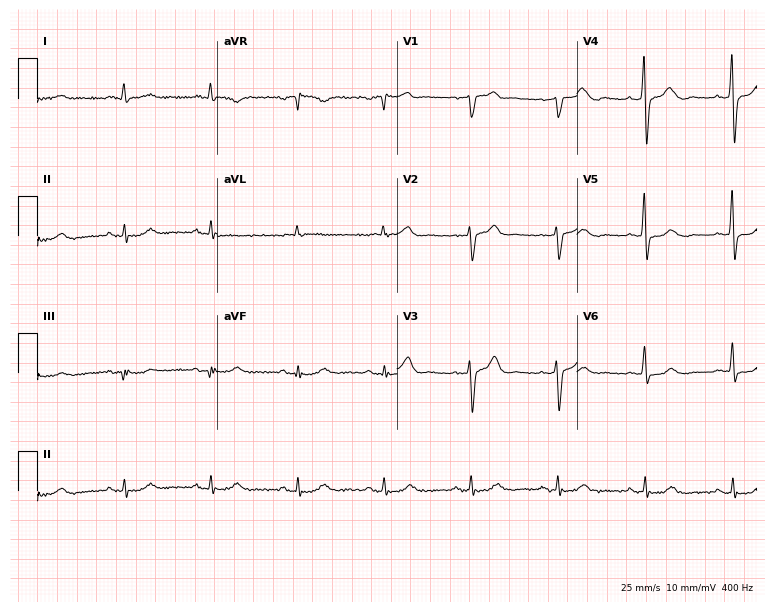
12-lead ECG from a male, 68 years old. Screened for six findings — first-degree AV block, right bundle branch block, left bundle branch block, sinus bradycardia, atrial fibrillation, sinus tachycardia — none is recorded.